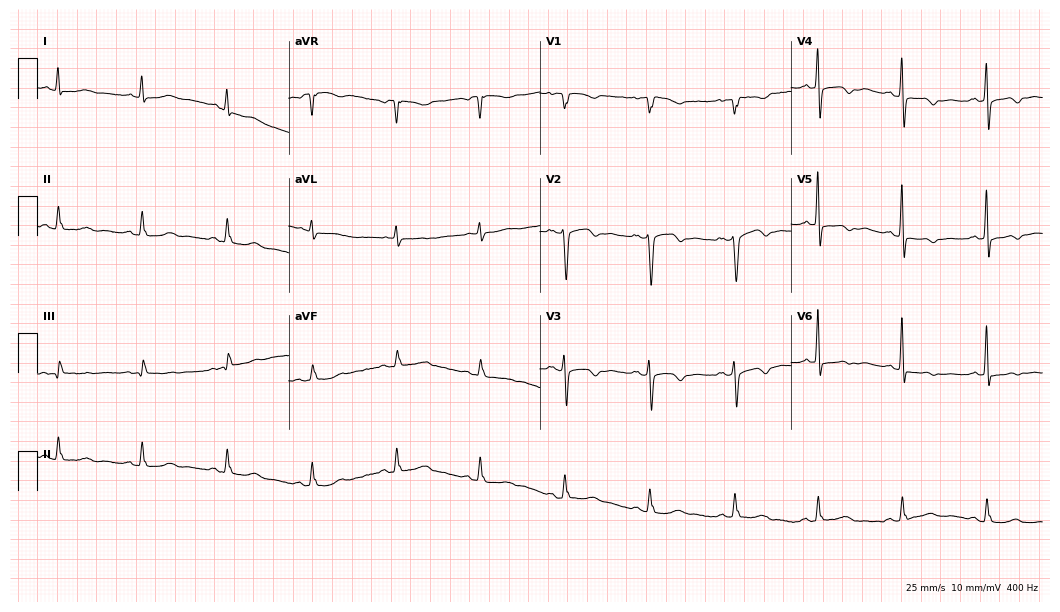
12-lead ECG from a woman, 83 years old (10.2-second recording at 400 Hz). No first-degree AV block, right bundle branch block (RBBB), left bundle branch block (LBBB), sinus bradycardia, atrial fibrillation (AF) or sinus tachycardia recorded for this tracing.